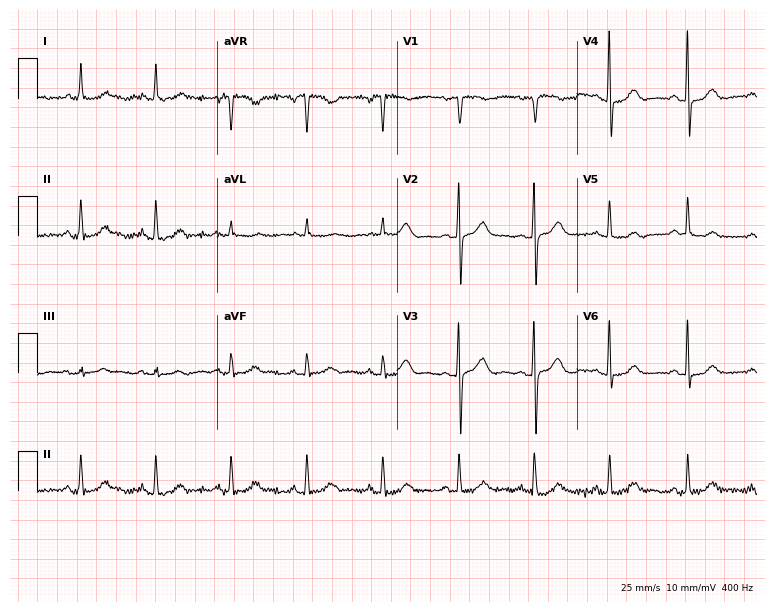
ECG (7.3-second recording at 400 Hz) — a female, 70 years old. Screened for six findings — first-degree AV block, right bundle branch block, left bundle branch block, sinus bradycardia, atrial fibrillation, sinus tachycardia — none is recorded. Only these six findings were labelled.